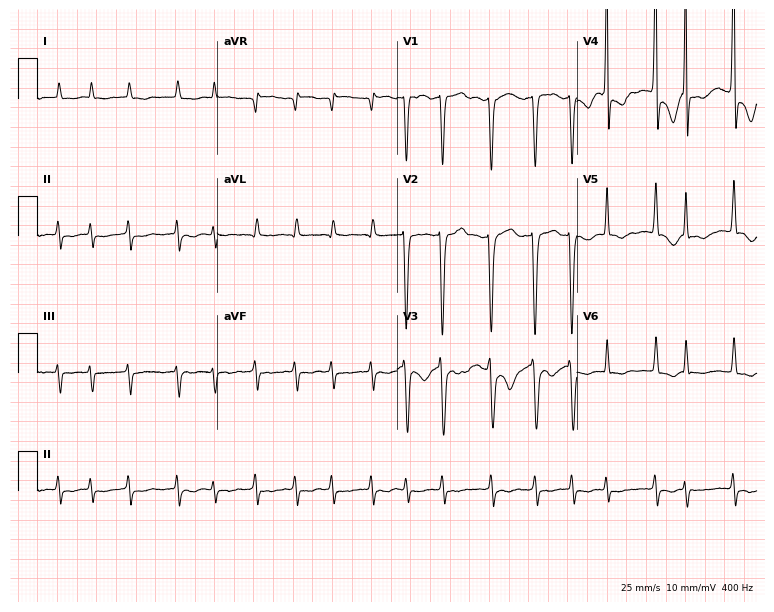
12-lead ECG from an 84-year-old female patient. Findings include atrial fibrillation.